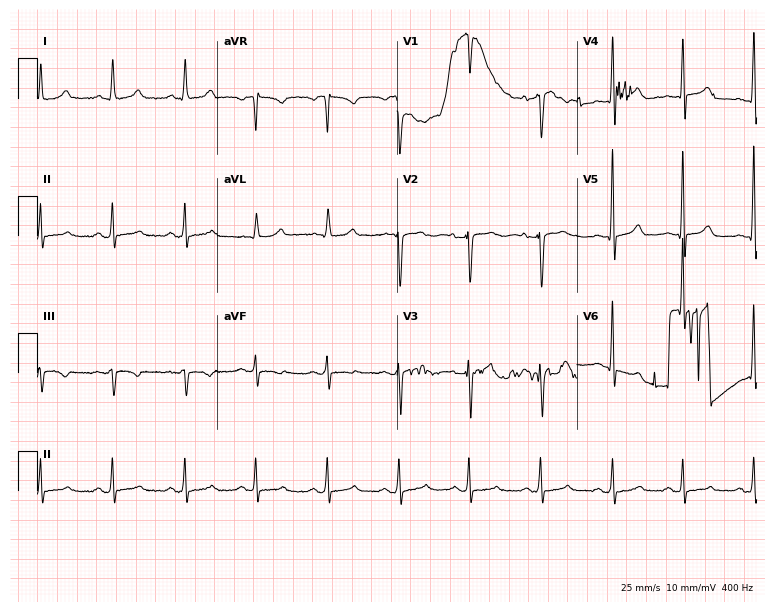
12-lead ECG (7.3-second recording at 400 Hz) from a female patient, 42 years old. Screened for six findings — first-degree AV block, right bundle branch block, left bundle branch block, sinus bradycardia, atrial fibrillation, sinus tachycardia — none is recorded.